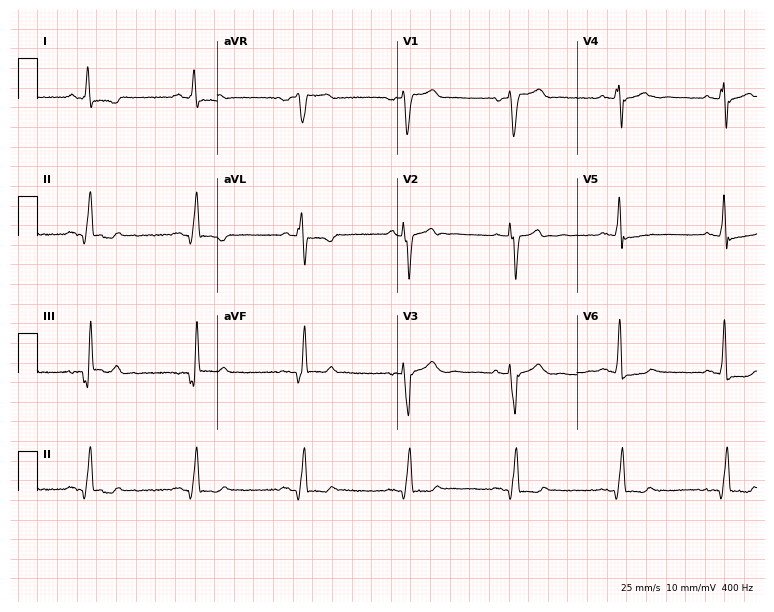
12-lead ECG (7.3-second recording at 400 Hz) from a 64-year-old man. Screened for six findings — first-degree AV block, right bundle branch block, left bundle branch block, sinus bradycardia, atrial fibrillation, sinus tachycardia — none is recorded.